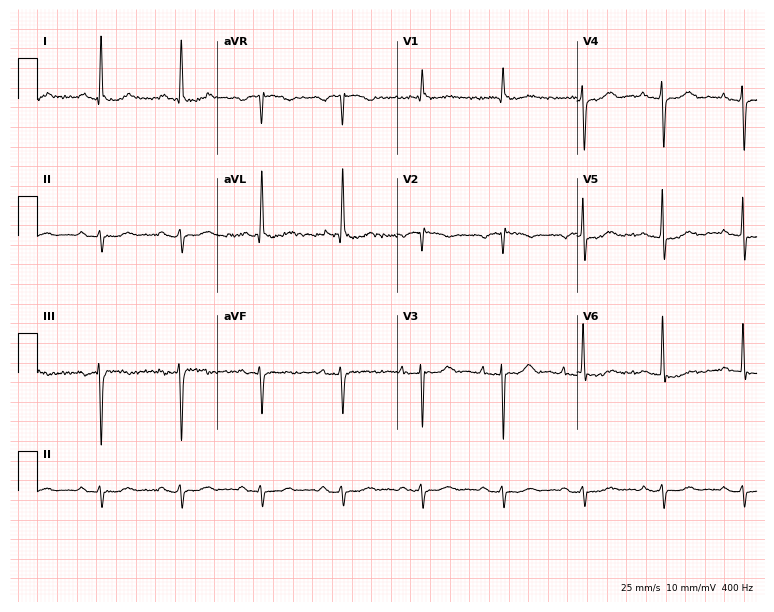
Standard 12-lead ECG recorded from a male patient, 79 years old (7.3-second recording at 400 Hz). None of these six findings is recorded: first-degree AV block, right bundle branch block, left bundle branch block, sinus bradycardia, atrial fibrillation, sinus tachycardia.